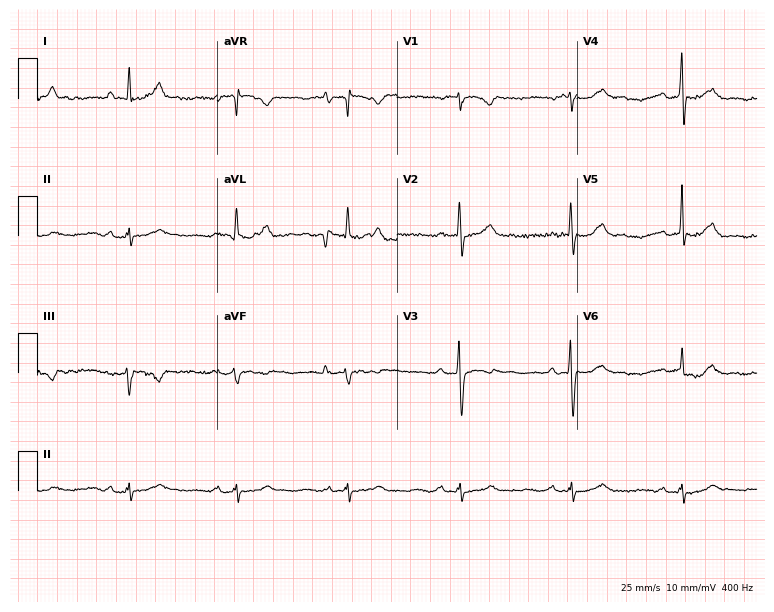
Standard 12-lead ECG recorded from a female, 82 years old. Read as a normal ECG.